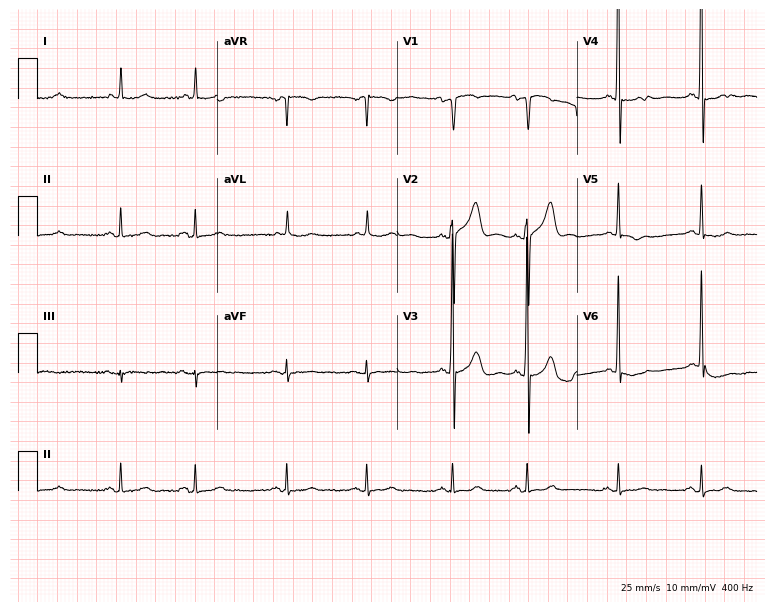
Resting 12-lead electrocardiogram (7.3-second recording at 400 Hz). Patient: a 70-year-old woman. None of these six findings is recorded: first-degree AV block, right bundle branch block, left bundle branch block, sinus bradycardia, atrial fibrillation, sinus tachycardia. Only these six findings were labelled.